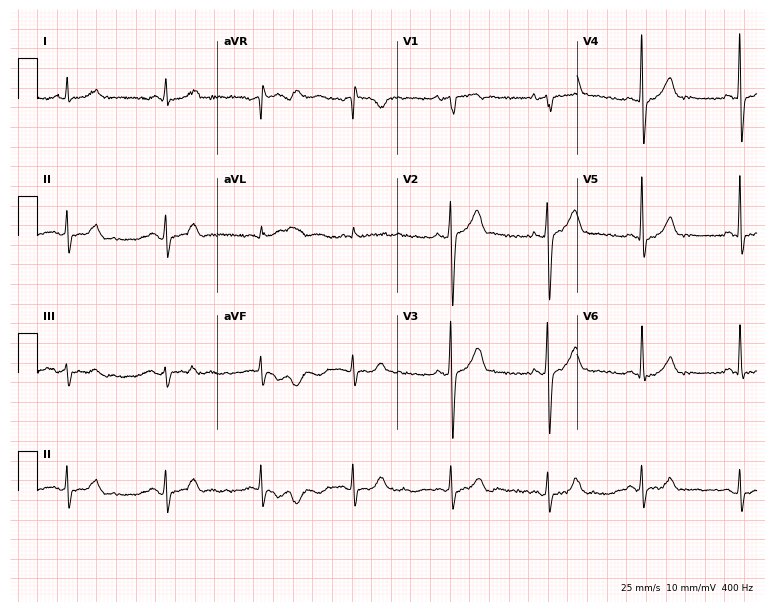
12-lead ECG (7.3-second recording at 400 Hz) from a male patient, 76 years old. Labelled as a normal ECG.